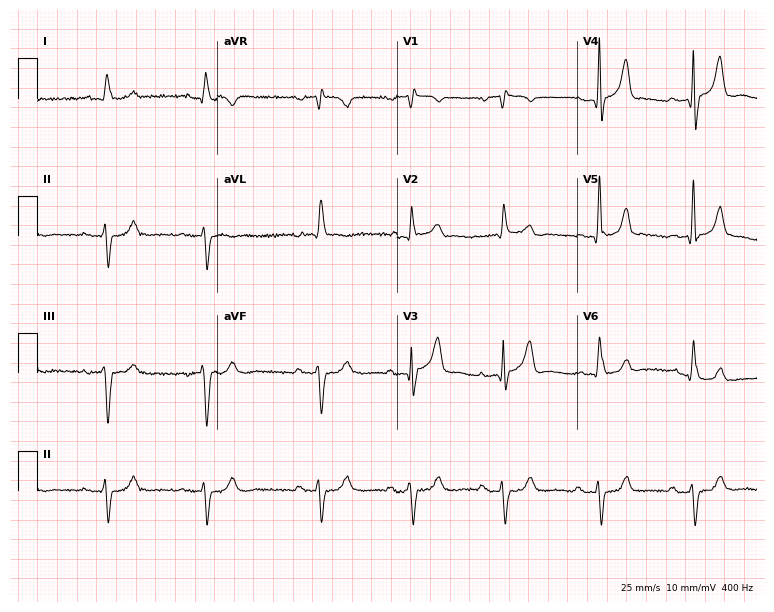
Electrocardiogram (7.3-second recording at 400 Hz), an 81-year-old male patient. Of the six screened findings (first-degree AV block, right bundle branch block (RBBB), left bundle branch block (LBBB), sinus bradycardia, atrial fibrillation (AF), sinus tachycardia), none is recorded. Findings outside these six are not listed.